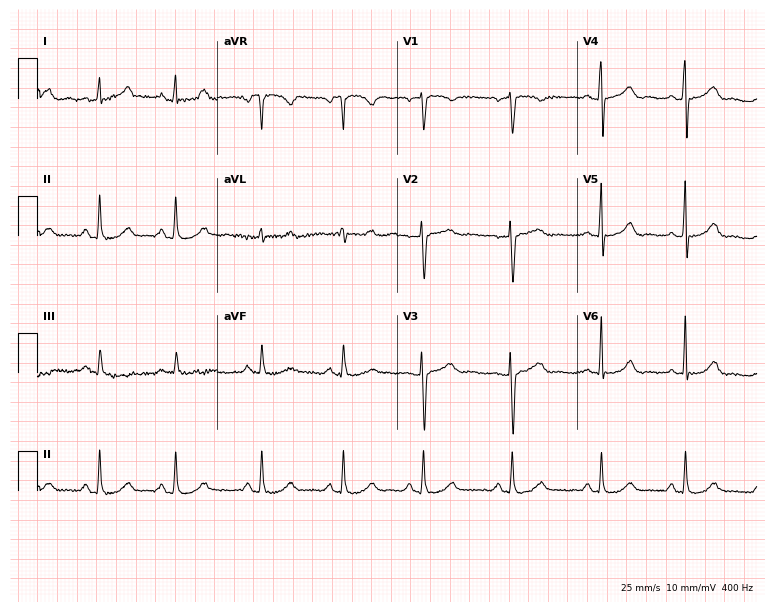
Resting 12-lead electrocardiogram (7.3-second recording at 400 Hz). Patient: a female, 46 years old. Read as a normal ECG.